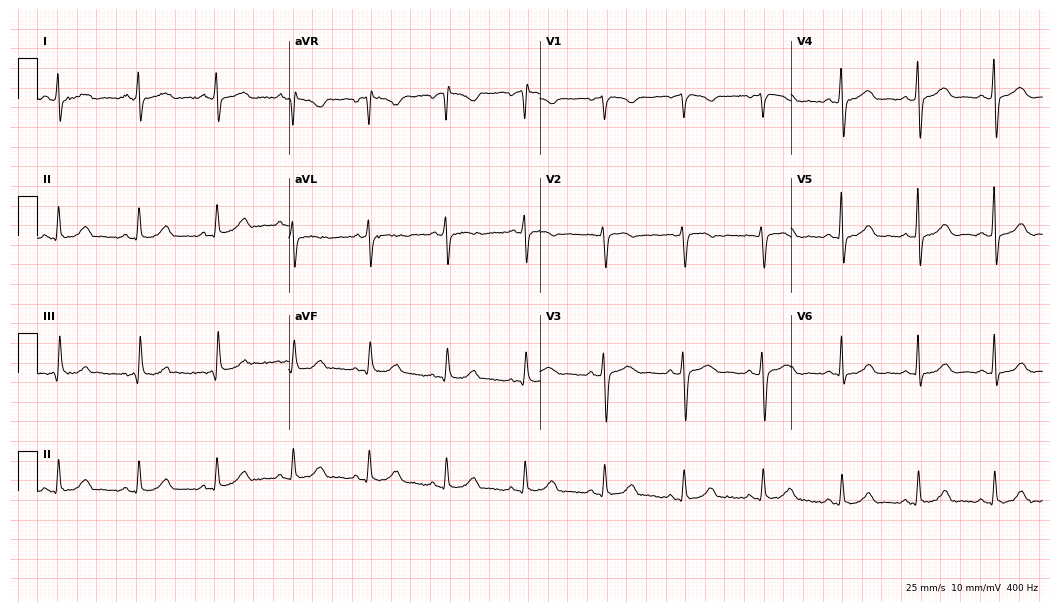
Standard 12-lead ECG recorded from a 51-year-old female. Read as a normal ECG.